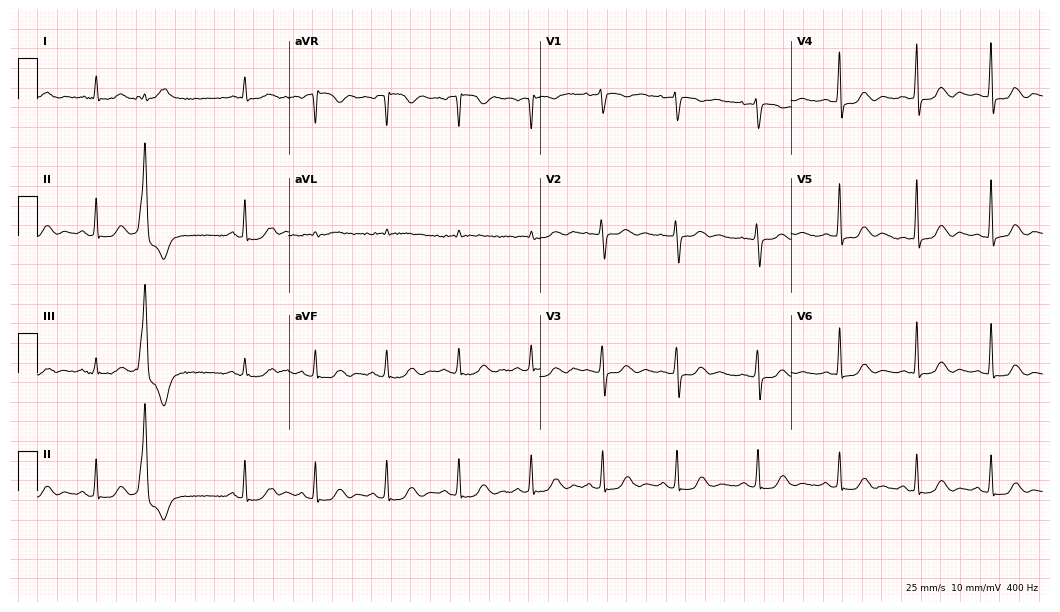
Standard 12-lead ECG recorded from a female, 64 years old (10.2-second recording at 400 Hz). None of these six findings is recorded: first-degree AV block, right bundle branch block, left bundle branch block, sinus bradycardia, atrial fibrillation, sinus tachycardia. Findings outside these six are not listed.